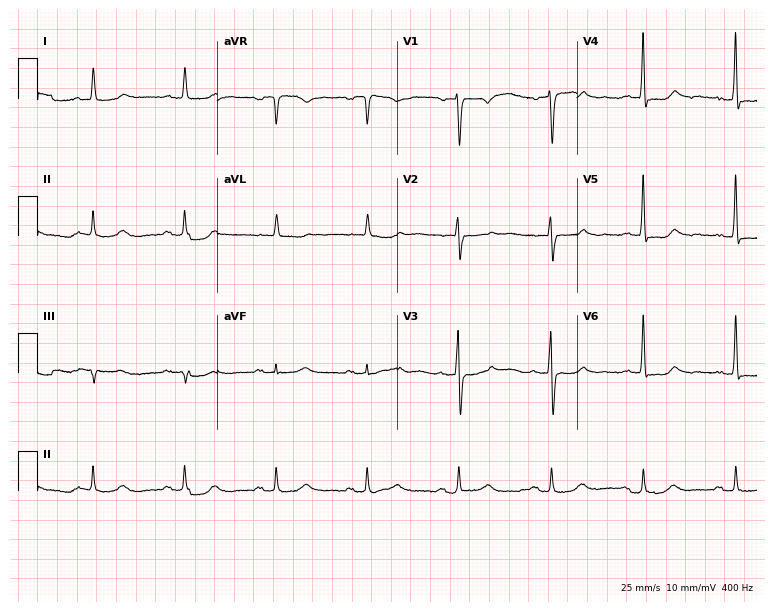
12-lead ECG (7.3-second recording at 400 Hz) from a 78-year-old man. Labelled as a normal ECG.